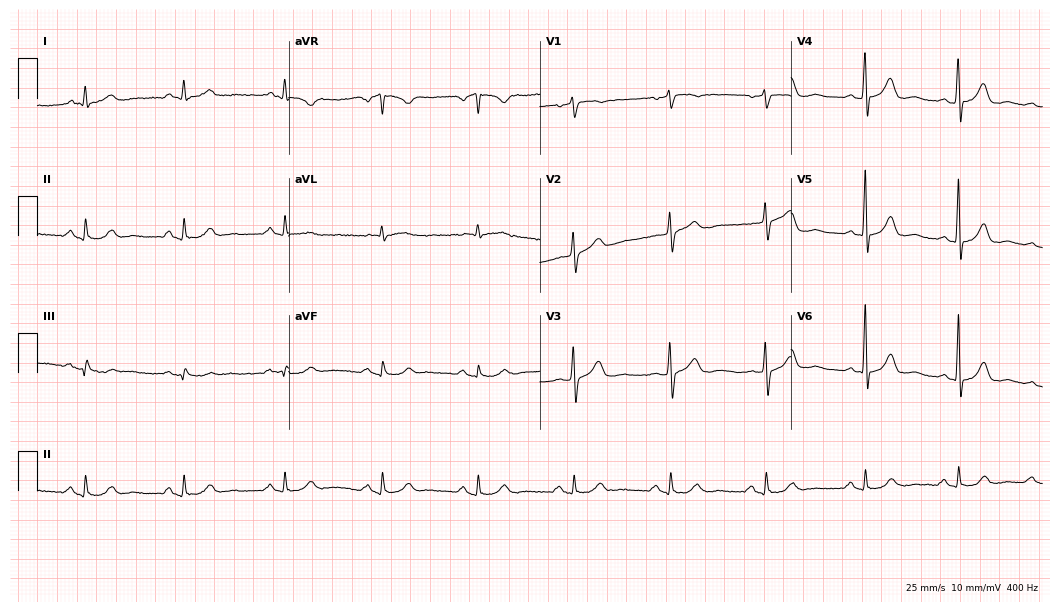
Resting 12-lead electrocardiogram (10.2-second recording at 400 Hz). Patient: a male, 69 years old. Read as a normal ECG.